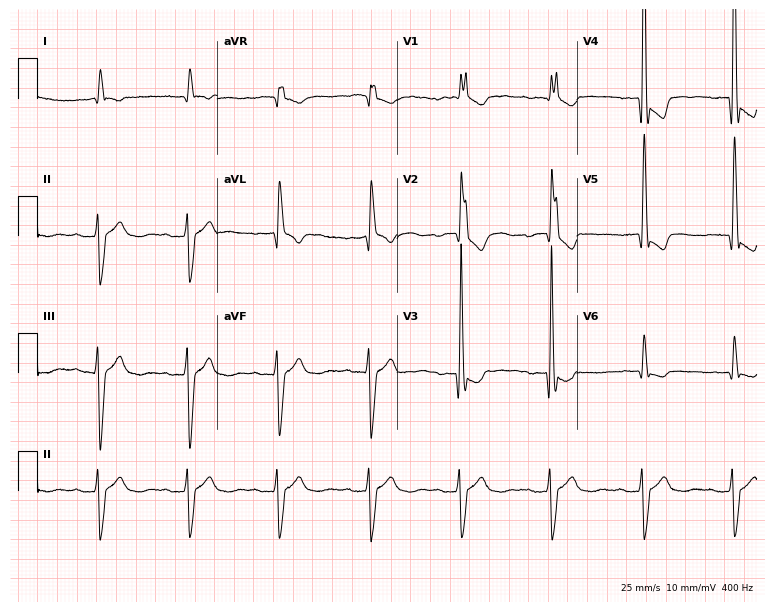
ECG — an 85-year-old female. Findings include first-degree AV block, right bundle branch block (RBBB).